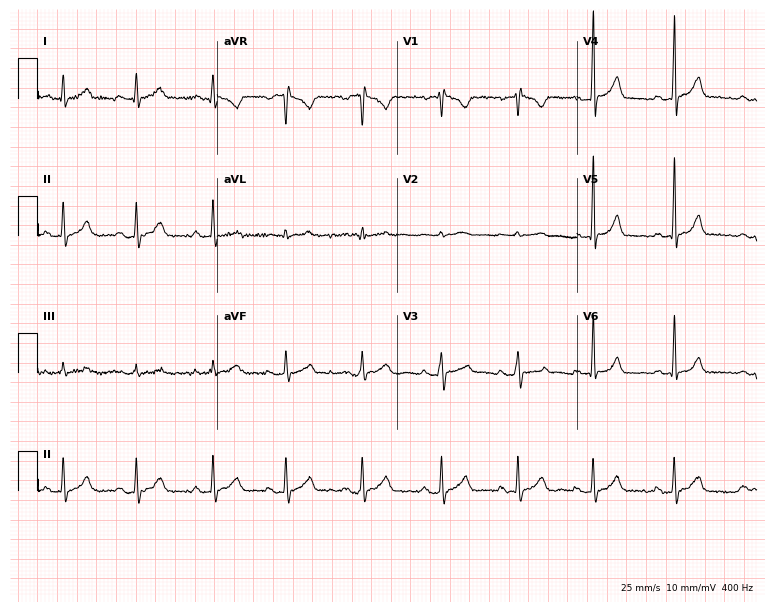
Standard 12-lead ECG recorded from a 27-year-old female patient (7.3-second recording at 400 Hz). Read as a normal ECG.